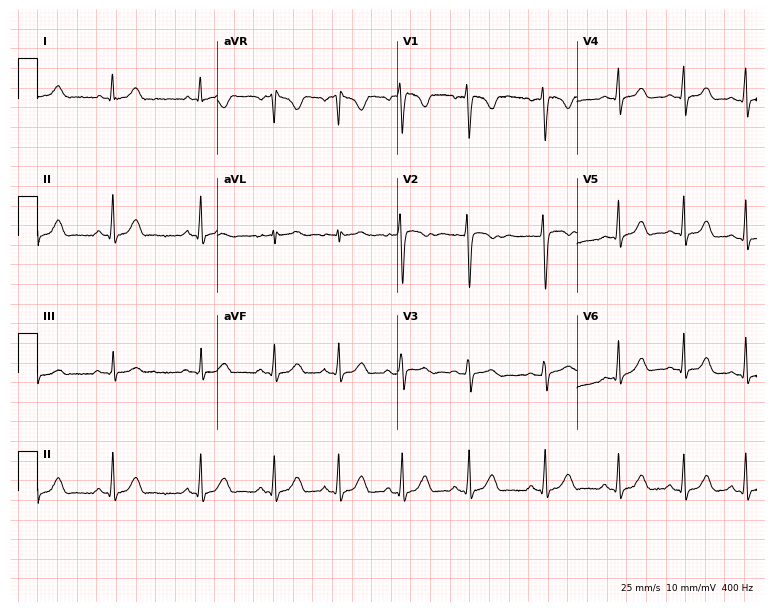
Standard 12-lead ECG recorded from a 24-year-old female (7.3-second recording at 400 Hz). Read as a normal ECG.